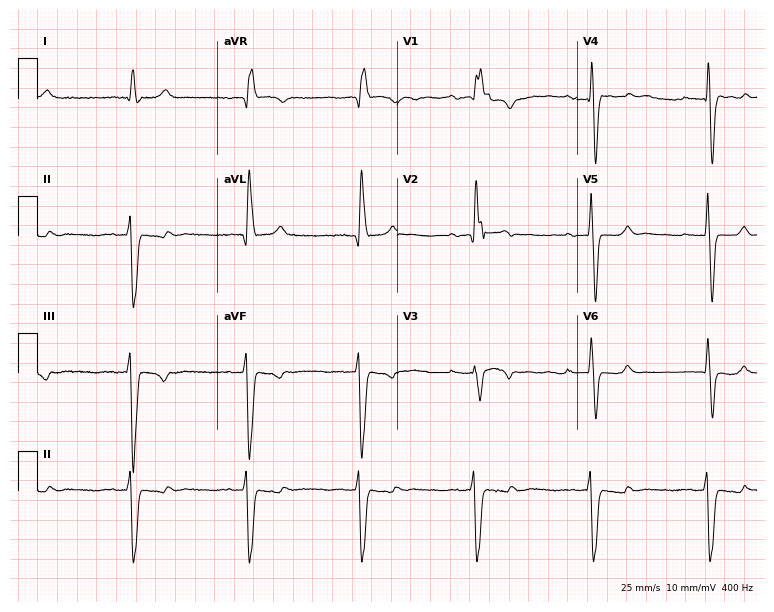
Resting 12-lead electrocardiogram (7.3-second recording at 400 Hz). Patient: a 56-year-old man. The tracing shows first-degree AV block, right bundle branch block (RBBB).